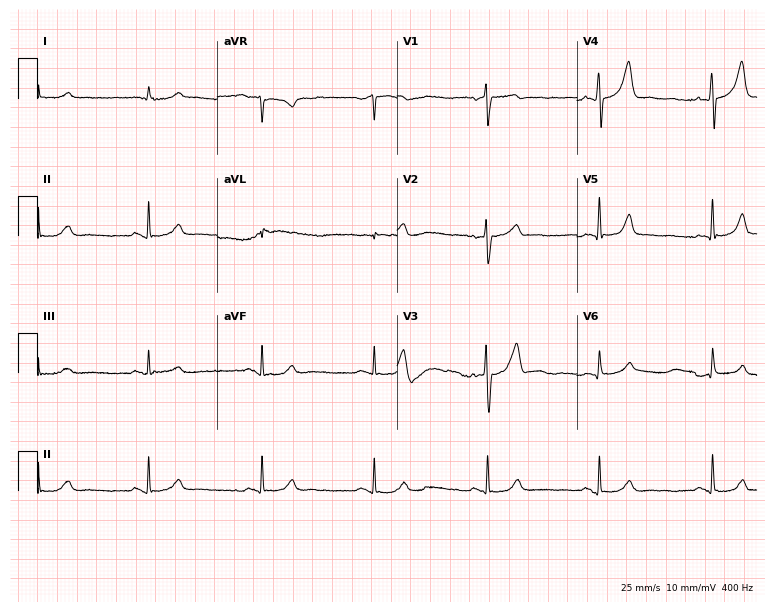
12-lead ECG from a male patient, 74 years old. Labelled as a normal ECG.